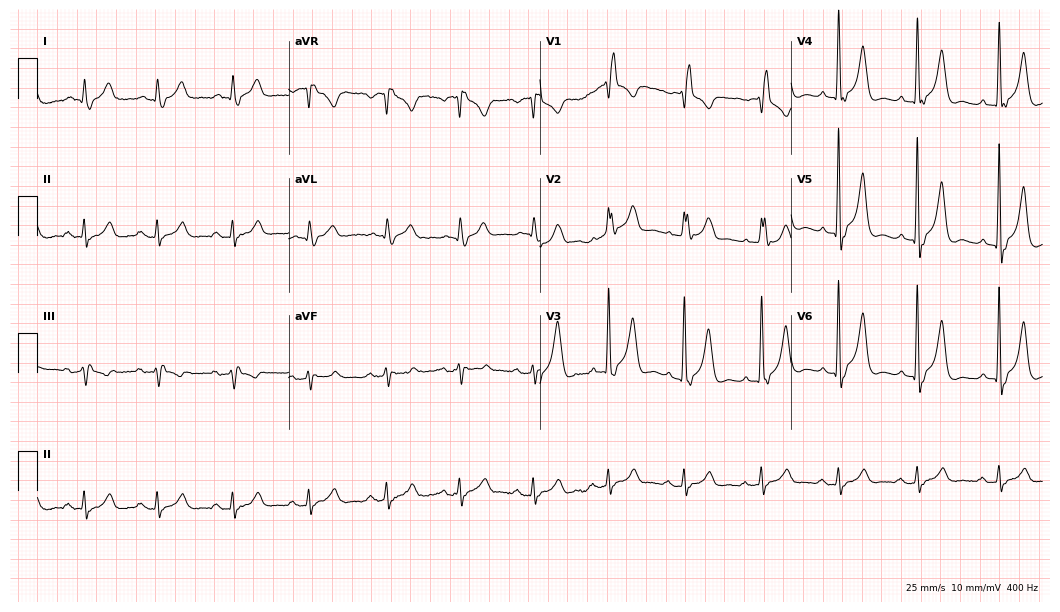
Standard 12-lead ECG recorded from an 84-year-old male. The tracing shows right bundle branch block (RBBB).